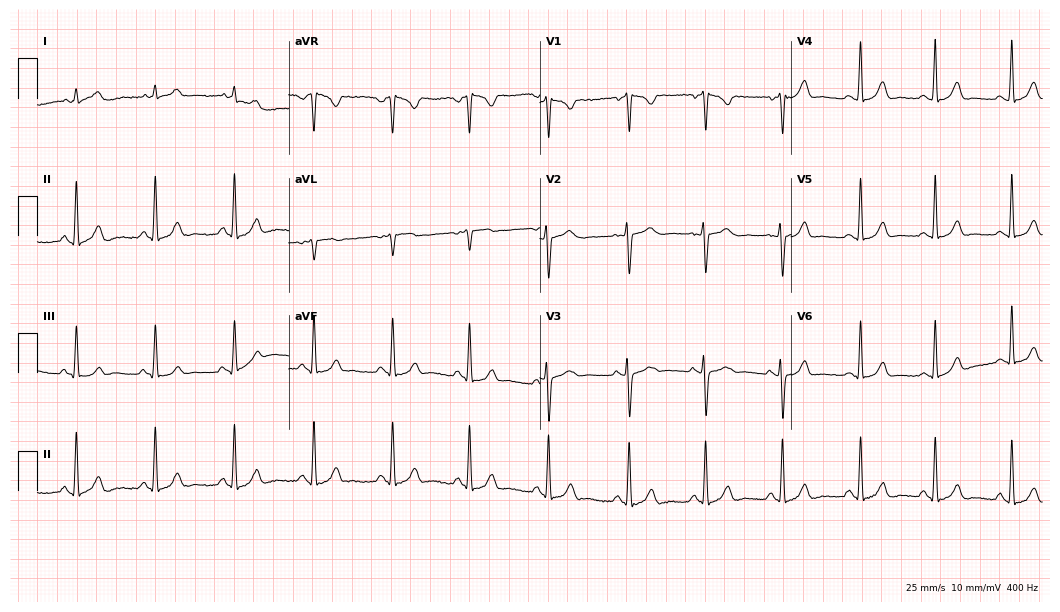
Electrocardiogram, a female, 21 years old. Overall reading on record: normal ECG.